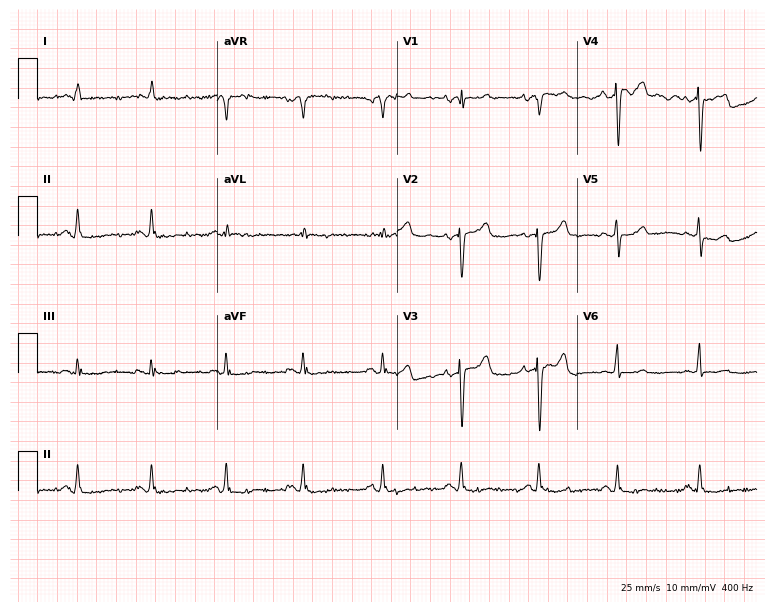
12-lead ECG (7.3-second recording at 400 Hz) from a woman, 85 years old. Screened for six findings — first-degree AV block, right bundle branch block, left bundle branch block, sinus bradycardia, atrial fibrillation, sinus tachycardia — none is recorded. Findings outside these six are not listed.